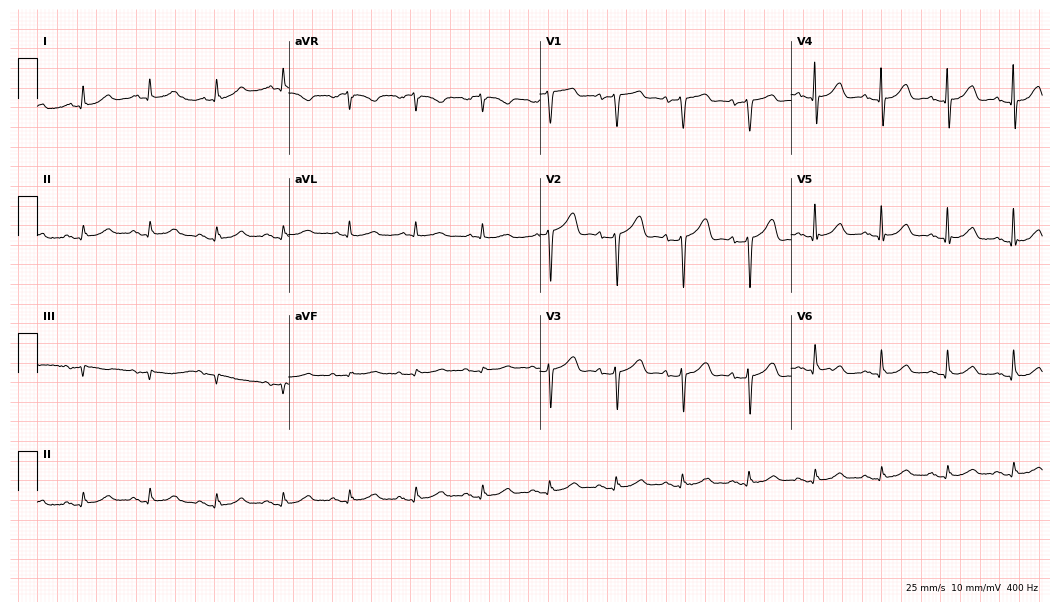
Resting 12-lead electrocardiogram (10.2-second recording at 400 Hz). Patient: a 75-year-old woman. Read as a normal ECG.